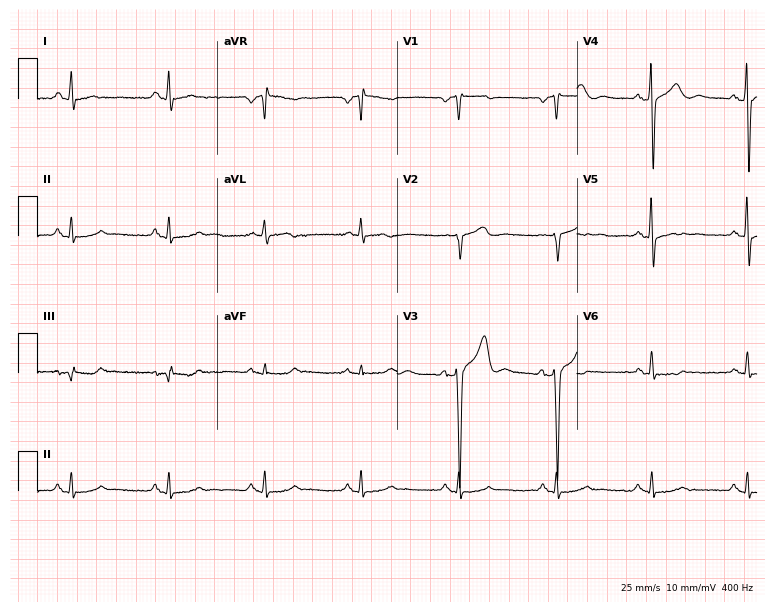
12-lead ECG from a 52-year-old male. Screened for six findings — first-degree AV block, right bundle branch block (RBBB), left bundle branch block (LBBB), sinus bradycardia, atrial fibrillation (AF), sinus tachycardia — none is recorded.